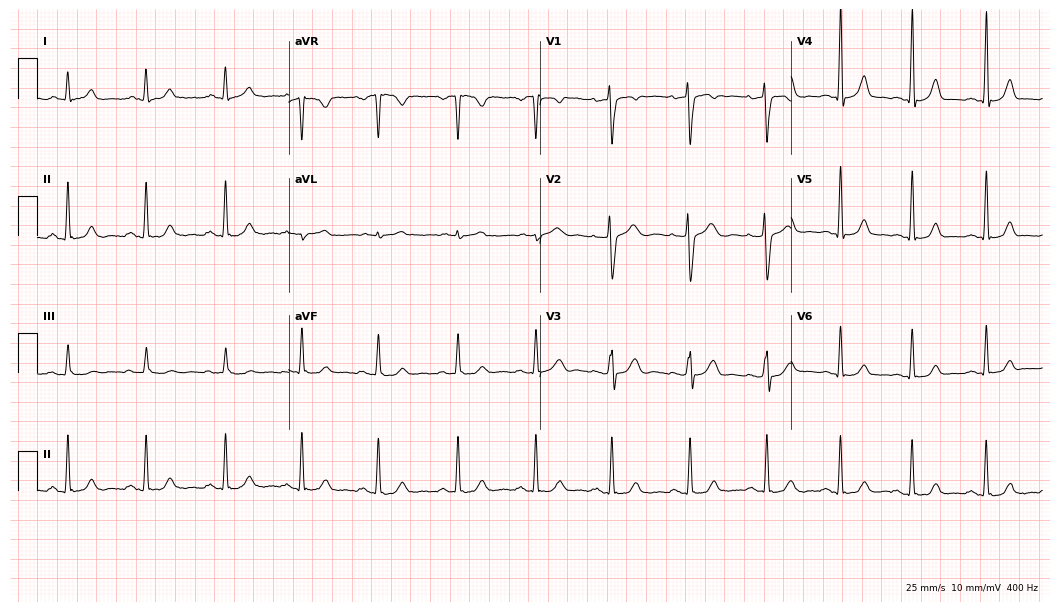
Standard 12-lead ECG recorded from a 34-year-old female (10.2-second recording at 400 Hz). Read as a normal ECG.